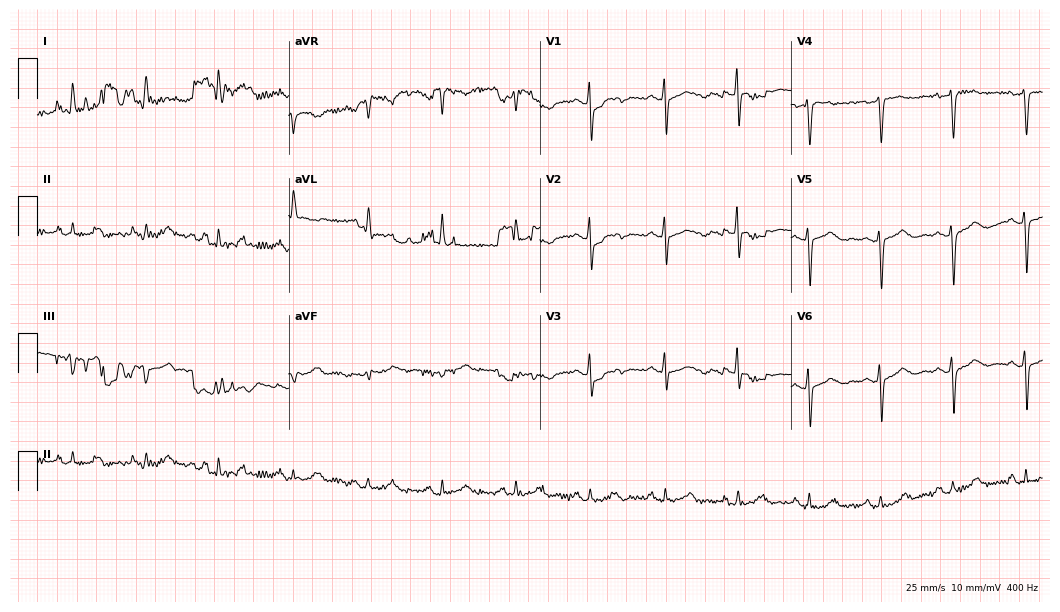
12-lead ECG (10.2-second recording at 400 Hz) from a woman, 69 years old. Screened for six findings — first-degree AV block, right bundle branch block, left bundle branch block, sinus bradycardia, atrial fibrillation, sinus tachycardia — none is recorded.